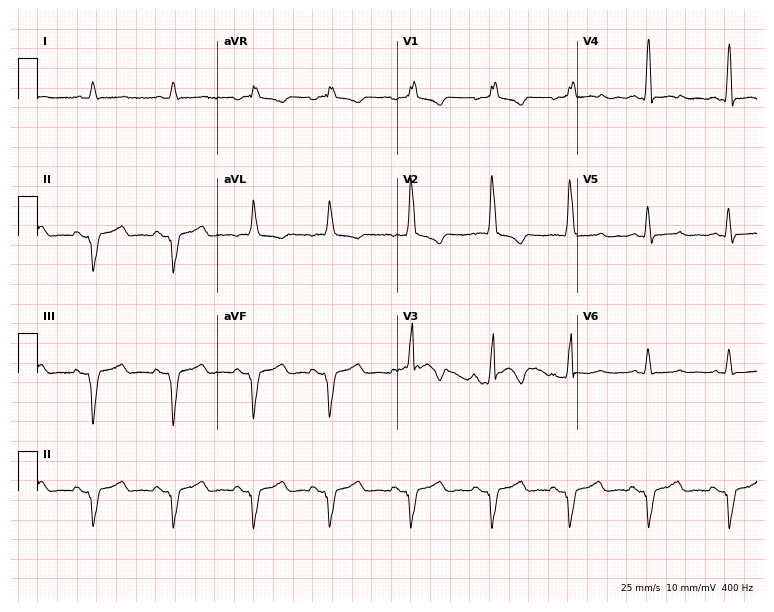
Standard 12-lead ECG recorded from a female, 45 years old (7.3-second recording at 400 Hz). None of these six findings is recorded: first-degree AV block, right bundle branch block, left bundle branch block, sinus bradycardia, atrial fibrillation, sinus tachycardia.